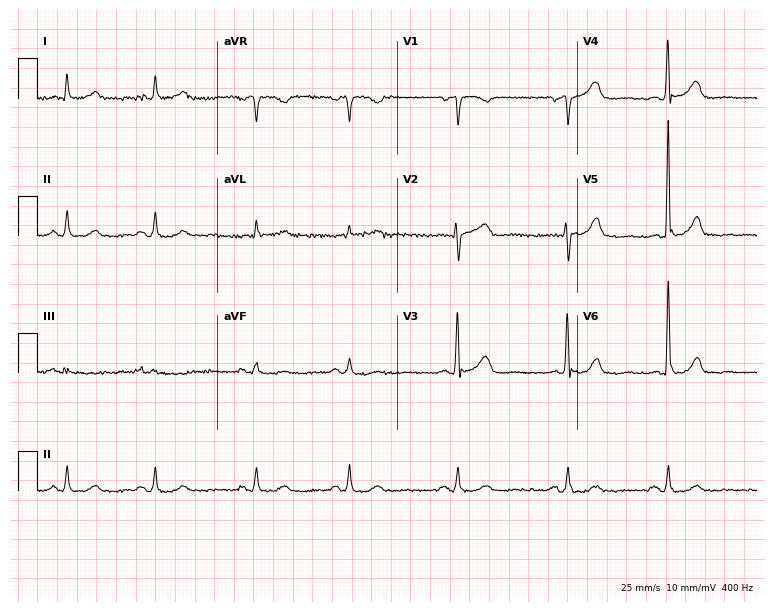
Electrocardiogram, an 80-year-old woman. Of the six screened findings (first-degree AV block, right bundle branch block, left bundle branch block, sinus bradycardia, atrial fibrillation, sinus tachycardia), none is recorded. Findings outside these six are not listed.